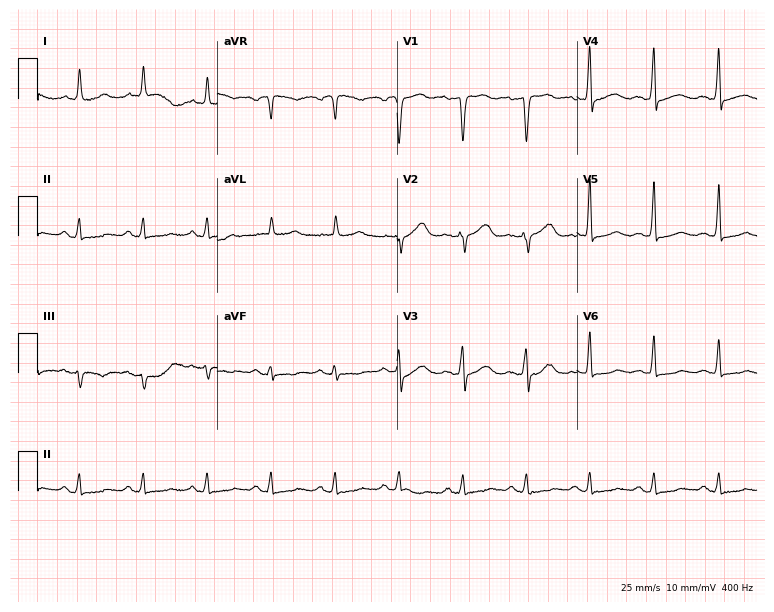
ECG (7.3-second recording at 400 Hz) — a man, 68 years old. Screened for six findings — first-degree AV block, right bundle branch block (RBBB), left bundle branch block (LBBB), sinus bradycardia, atrial fibrillation (AF), sinus tachycardia — none is recorded.